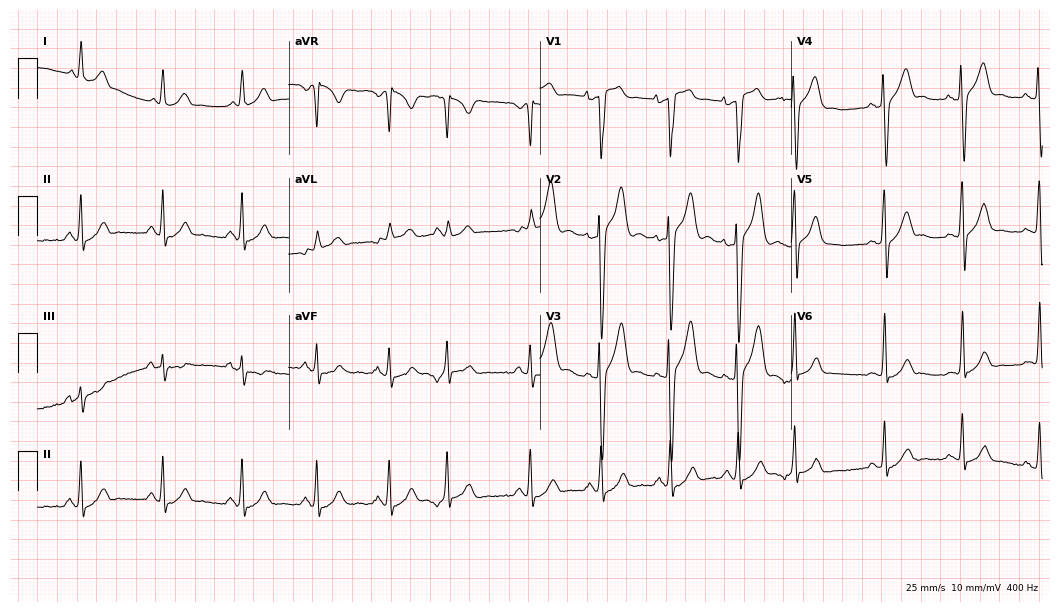
Electrocardiogram (10.2-second recording at 400 Hz), a 33-year-old male. Of the six screened findings (first-degree AV block, right bundle branch block (RBBB), left bundle branch block (LBBB), sinus bradycardia, atrial fibrillation (AF), sinus tachycardia), none is recorded.